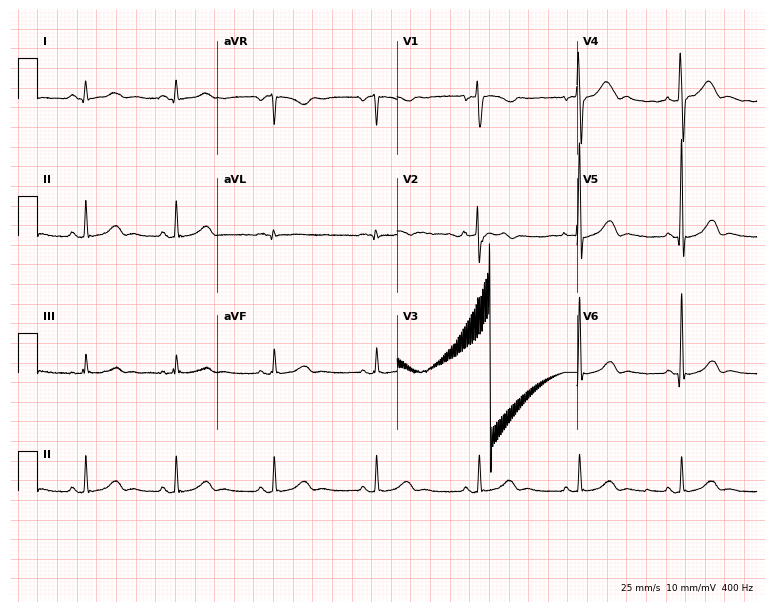
Standard 12-lead ECG recorded from a man, 23 years old (7.3-second recording at 400 Hz). None of these six findings is recorded: first-degree AV block, right bundle branch block, left bundle branch block, sinus bradycardia, atrial fibrillation, sinus tachycardia.